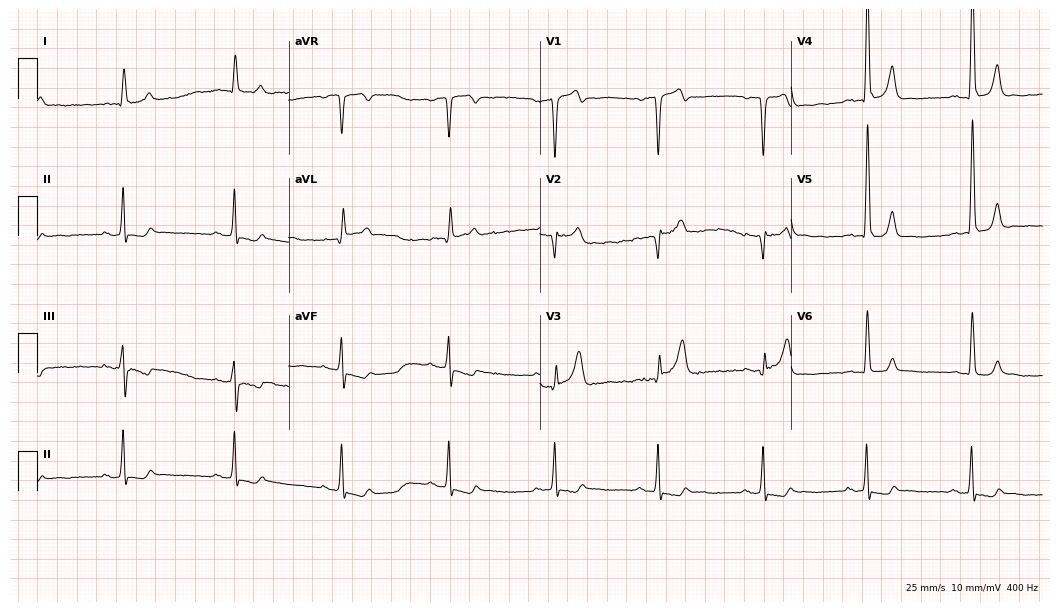
12-lead ECG from a male patient, 62 years old. No first-degree AV block, right bundle branch block (RBBB), left bundle branch block (LBBB), sinus bradycardia, atrial fibrillation (AF) or sinus tachycardia recorded for this tracing. Other findings, if any, are not listed.